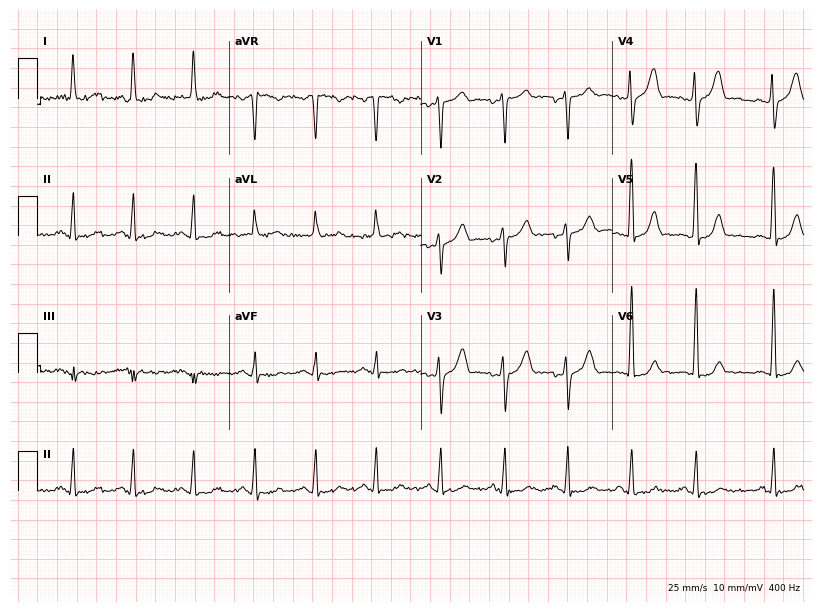
Resting 12-lead electrocardiogram (7.8-second recording at 400 Hz). Patient: a woman, 35 years old. Read as a normal ECG.